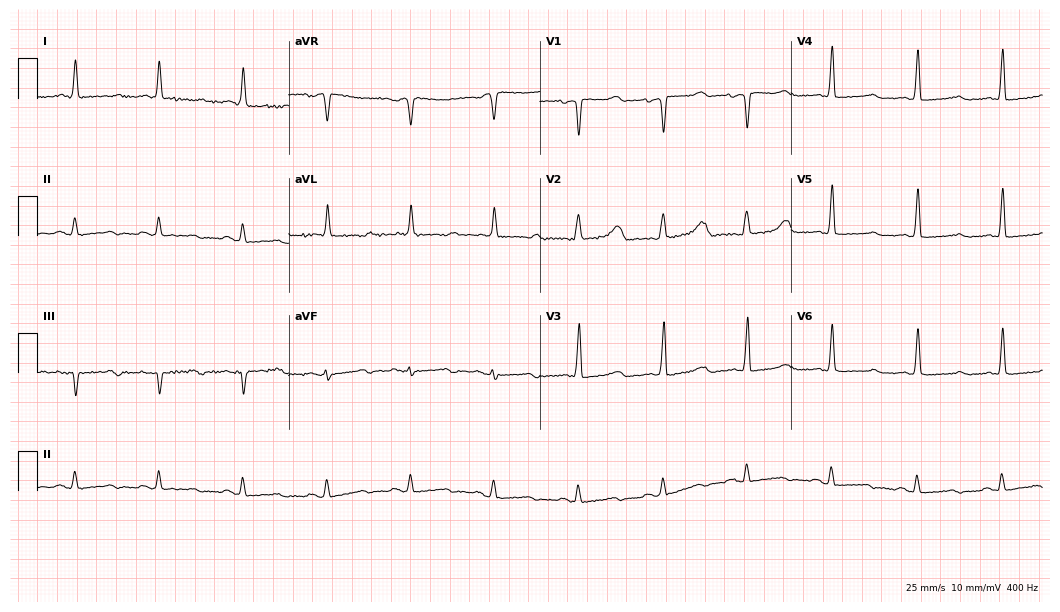
ECG — a 64-year-old woman. Screened for six findings — first-degree AV block, right bundle branch block (RBBB), left bundle branch block (LBBB), sinus bradycardia, atrial fibrillation (AF), sinus tachycardia — none is recorded.